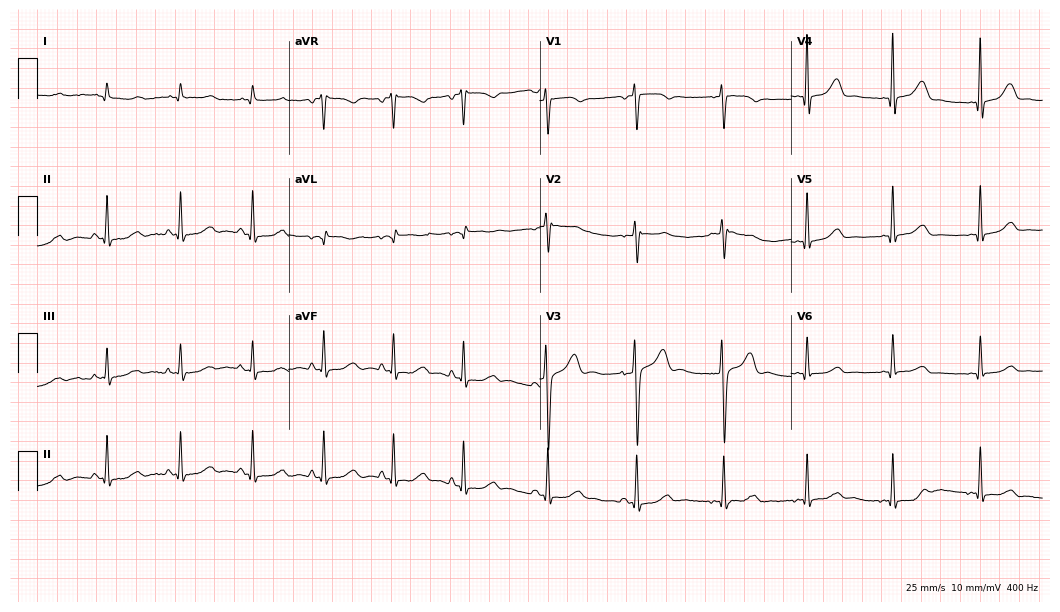
Standard 12-lead ECG recorded from a 36-year-old female patient. None of these six findings is recorded: first-degree AV block, right bundle branch block, left bundle branch block, sinus bradycardia, atrial fibrillation, sinus tachycardia. Only these six findings were labelled.